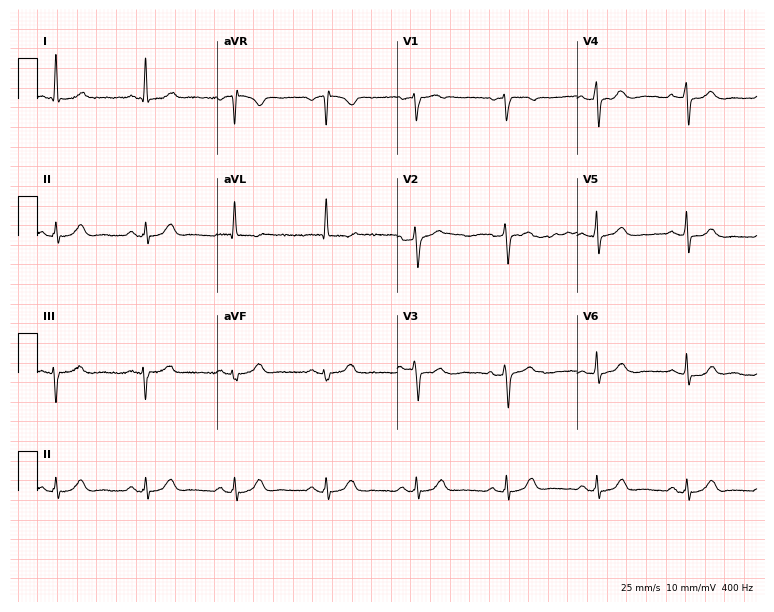
Resting 12-lead electrocardiogram (7.3-second recording at 400 Hz). Patient: a 65-year-old woman. None of these six findings is recorded: first-degree AV block, right bundle branch block, left bundle branch block, sinus bradycardia, atrial fibrillation, sinus tachycardia.